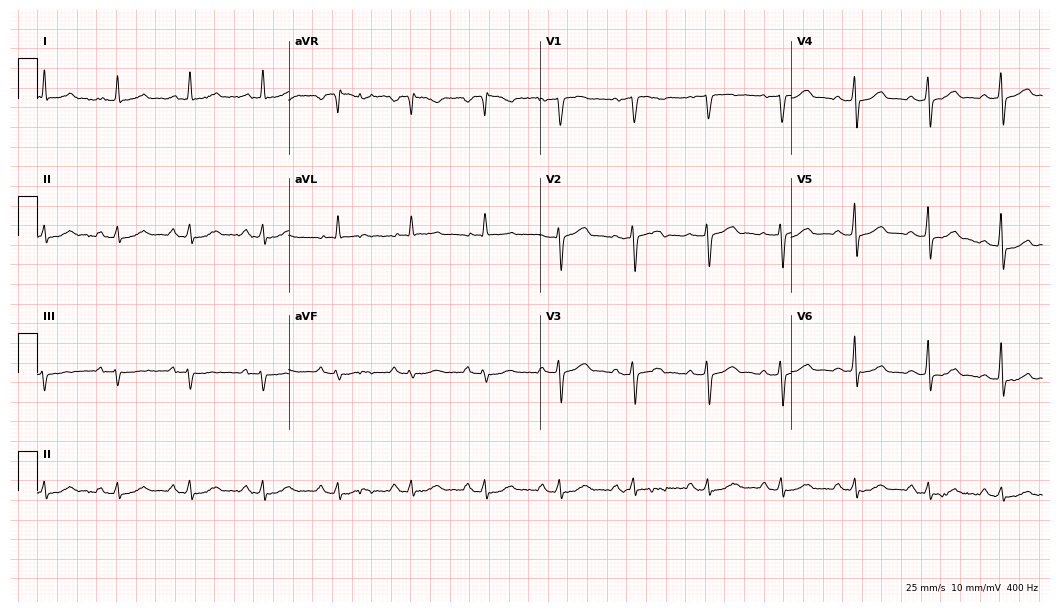
12-lead ECG from a man, 69 years old. Labelled as a normal ECG.